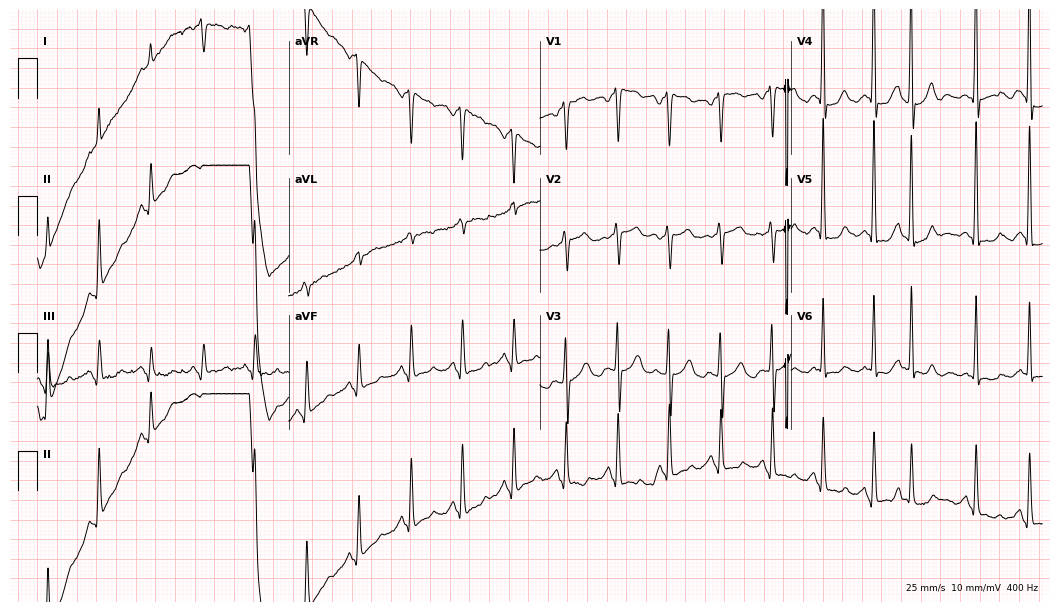
ECG (10.2-second recording at 400 Hz) — a 59-year-old male. Screened for six findings — first-degree AV block, right bundle branch block, left bundle branch block, sinus bradycardia, atrial fibrillation, sinus tachycardia — none is recorded.